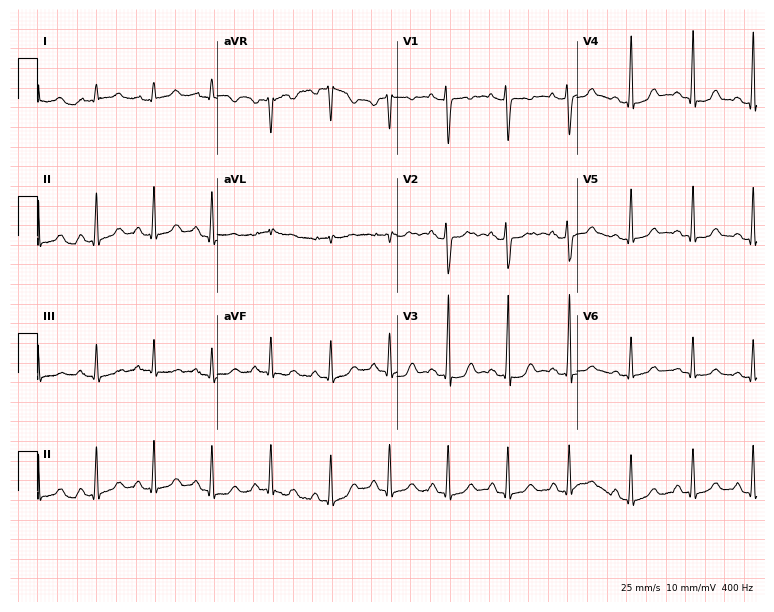
ECG — a female, 21 years old. Labelled as a normal ECG.